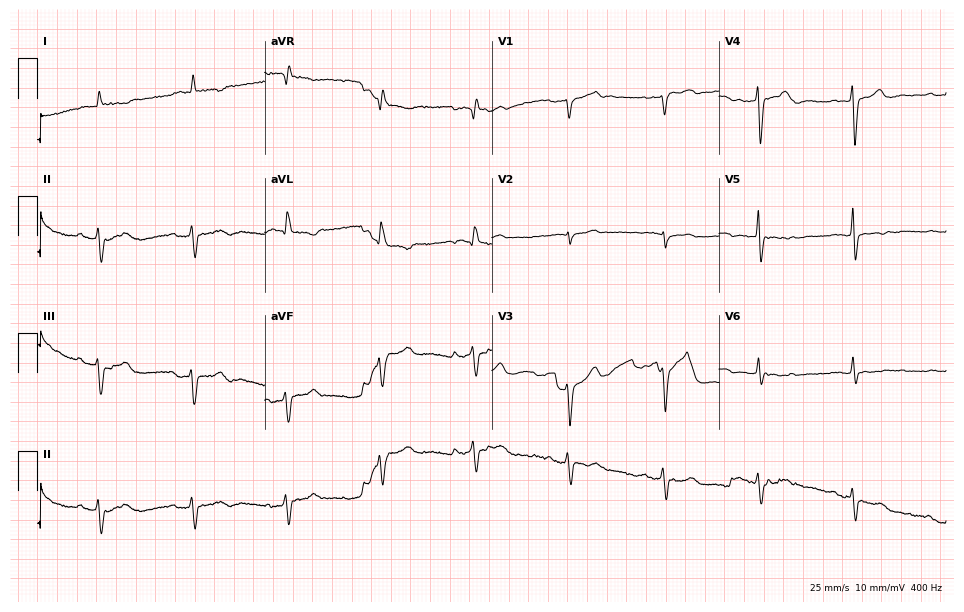
Electrocardiogram, an 85-year-old male. Of the six screened findings (first-degree AV block, right bundle branch block (RBBB), left bundle branch block (LBBB), sinus bradycardia, atrial fibrillation (AF), sinus tachycardia), none is recorded. Findings outside these six are not listed.